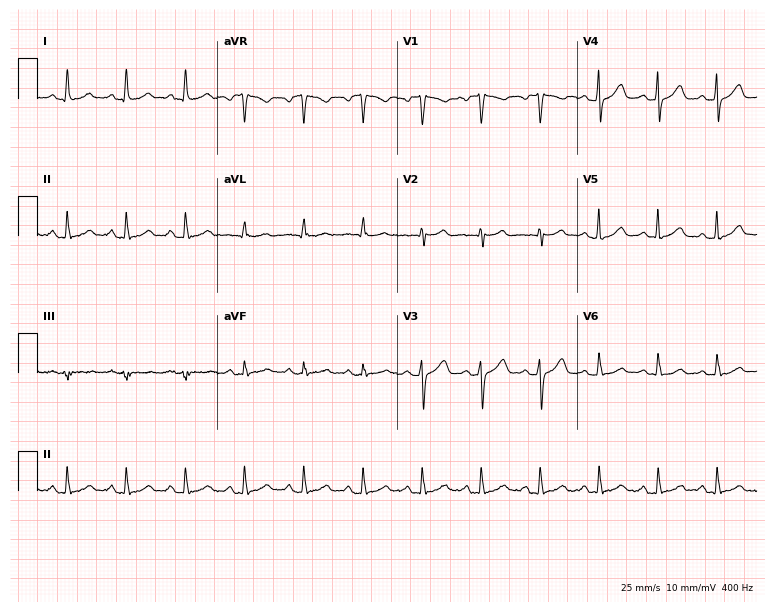
Standard 12-lead ECG recorded from a woman, 55 years old. Read as a normal ECG.